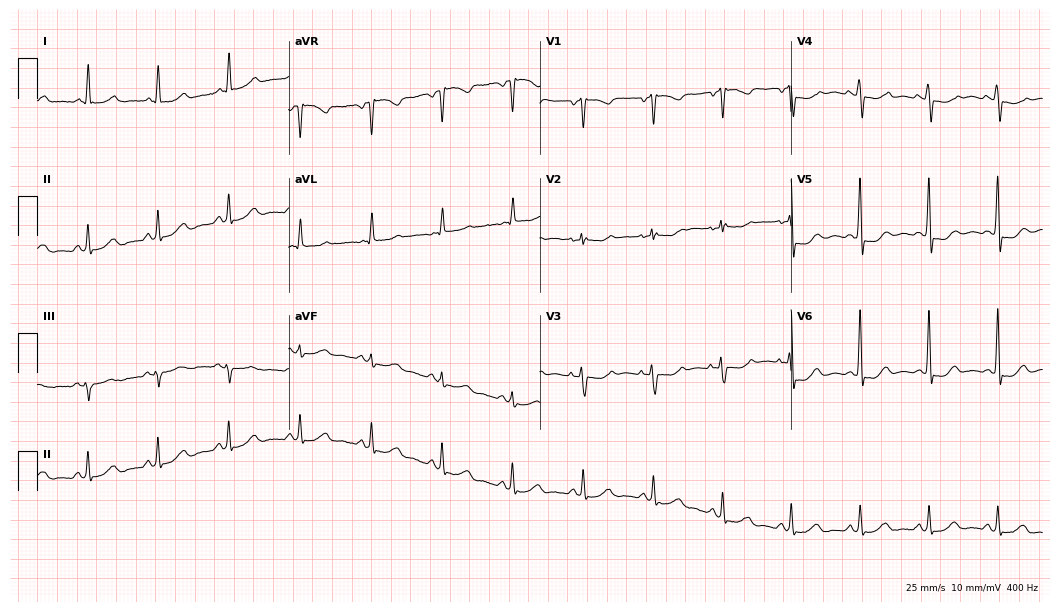
12-lead ECG from a 59-year-old woman (10.2-second recording at 400 Hz). No first-degree AV block, right bundle branch block, left bundle branch block, sinus bradycardia, atrial fibrillation or sinus tachycardia recorded for this tracing. Other findings, if any, are not listed.